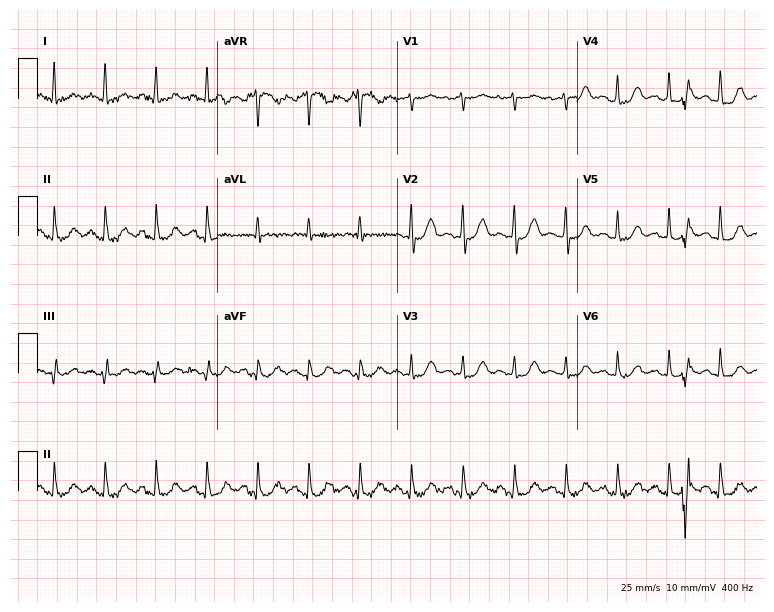
Standard 12-lead ECG recorded from a 73-year-old female. The tracing shows sinus tachycardia (a sinus rate of 100 beats per minute or more).